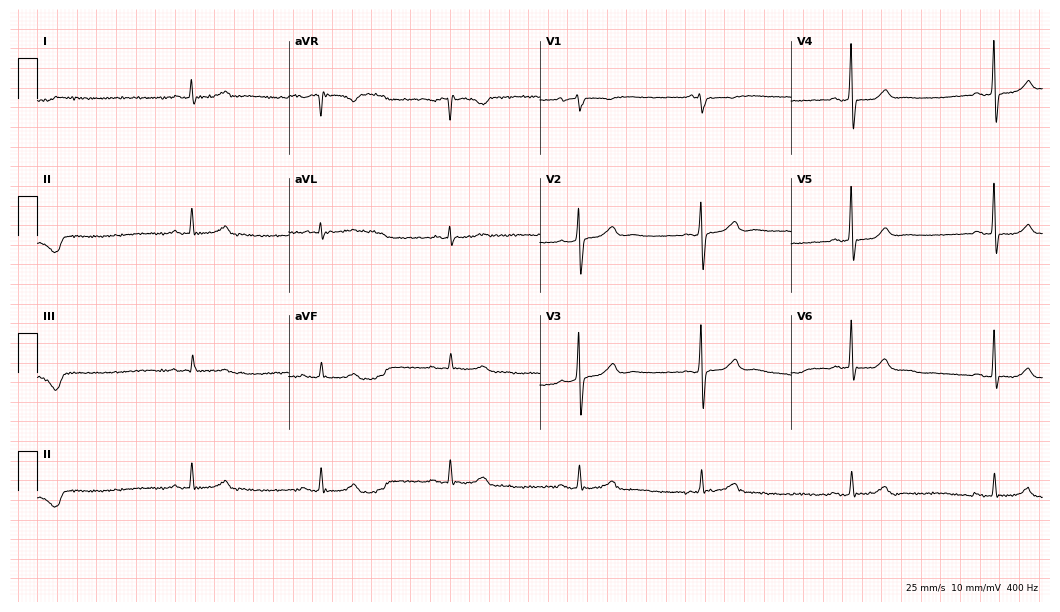
Standard 12-lead ECG recorded from a male, 77 years old (10.2-second recording at 400 Hz). None of these six findings is recorded: first-degree AV block, right bundle branch block, left bundle branch block, sinus bradycardia, atrial fibrillation, sinus tachycardia. Only these six findings were labelled.